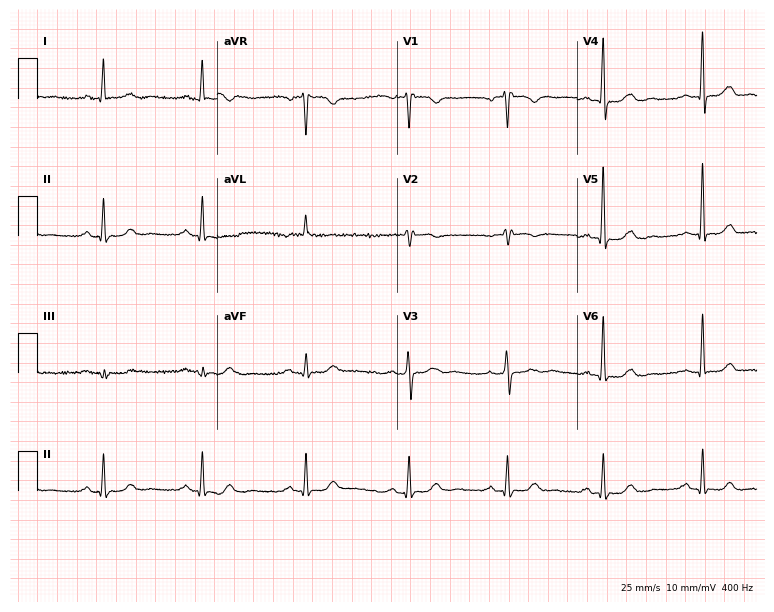
Resting 12-lead electrocardiogram. Patient: a 61-year-old female. None of these six findings is recorded: first-degree AV block, right bundle branch block, left bundle branch block, sinus bradycardia, atrial fibrillation, sinus tachycardia. Other findings, if any, are not listed.